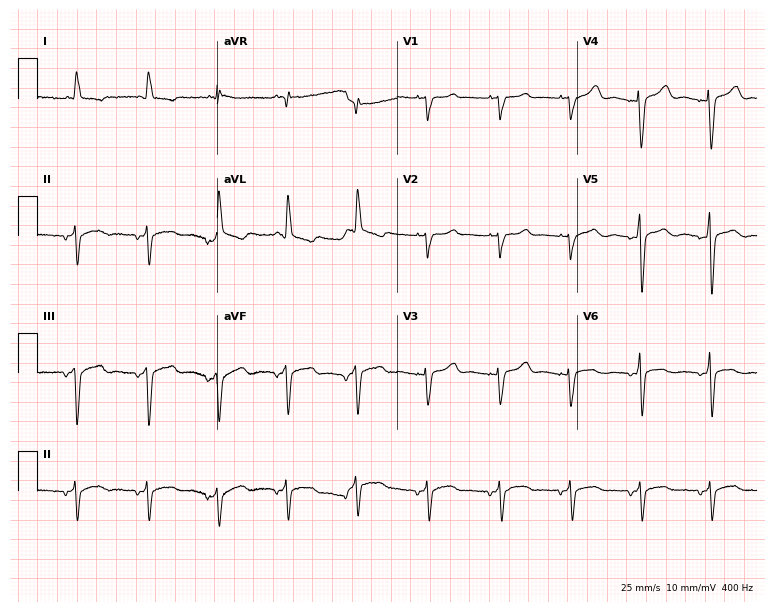
Electrocardiogram, a 70-year-old female. Of the six screened findings (first-degree AV block, right bundle branch block, left bundle branch block, sinus bradycardia, atrial fibrillation, sinus tachycardia), none is recorded.